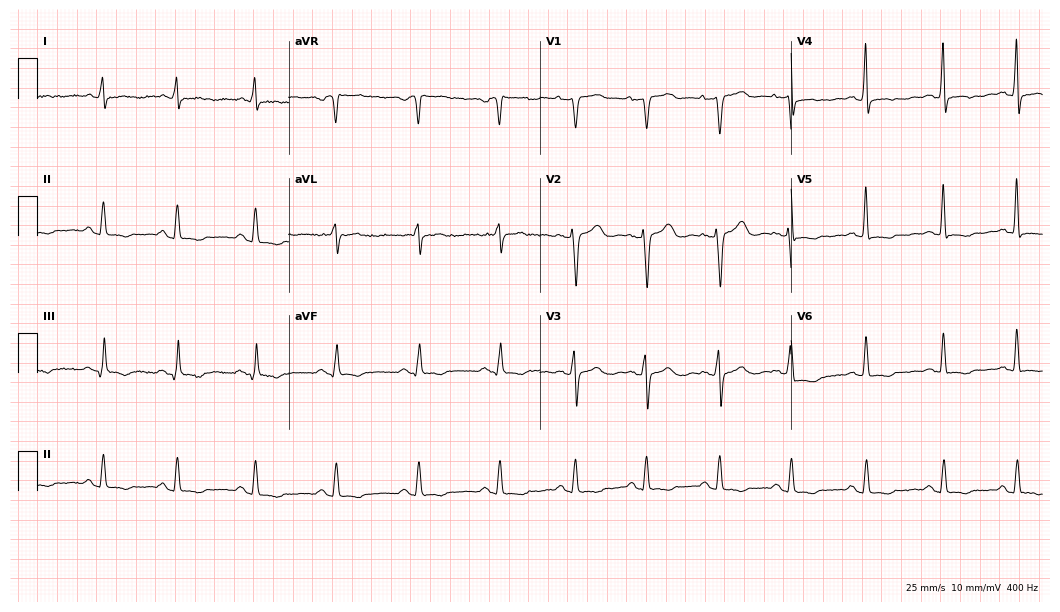
Standard 12-lead ECG recorded from a female, 63 years old. None of these six findings is recorded: first-degree AV block, right bundle branch block (RBBB), left bundle branch block (LBBB), sinus bradycardia, atrial fibrillation (AF), sinus tachycardia.